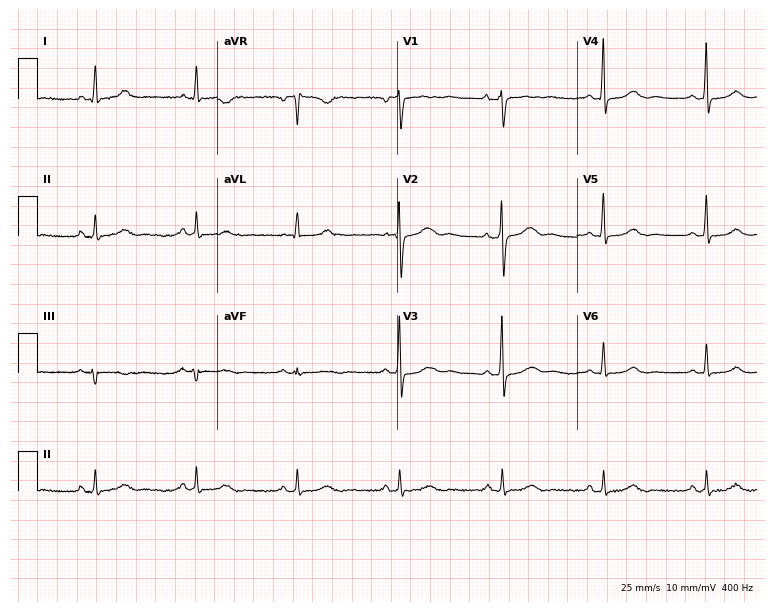
12-lead ECG from a 61-year-old female. Screened for six findings — first-degree AV block, right bundle branch block, left bundle branch block, sinus bradycardia, atrial fibrillation, sinus tachycardia — none is recorded.